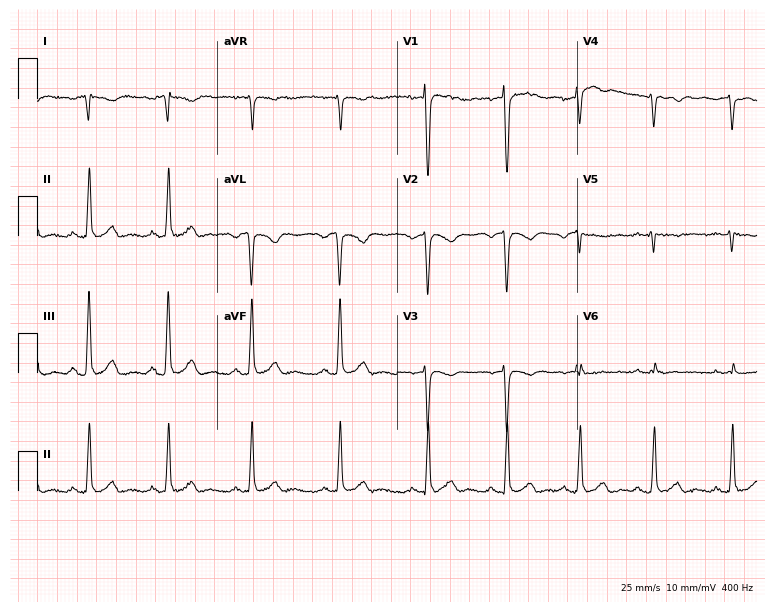
Electrocardiogram, a man, 40 years old. Of the six screened findings (first-degree AV block, right bundle branch block (RBBB), left bundle branch block (LBBB), sinus bradycardia, atrial fibrillation (AF), sinus tachycardia), none is recorded. Findings outside these six are not listed.